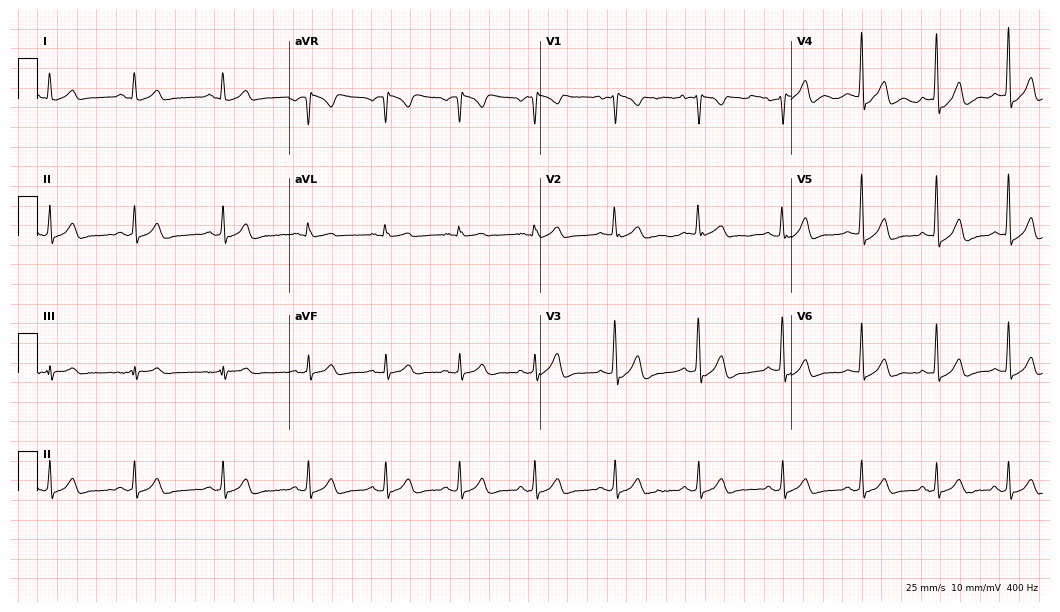
Standard 12-lead ECG recorded from a 23-year-old female. None of these six findings is recorded: first-degree AV block, right bundle branch block (RBBB), left bundle branch block (LBBB), sinus bradycardia, atrial fibrillation (AF), sinus tachycardia.